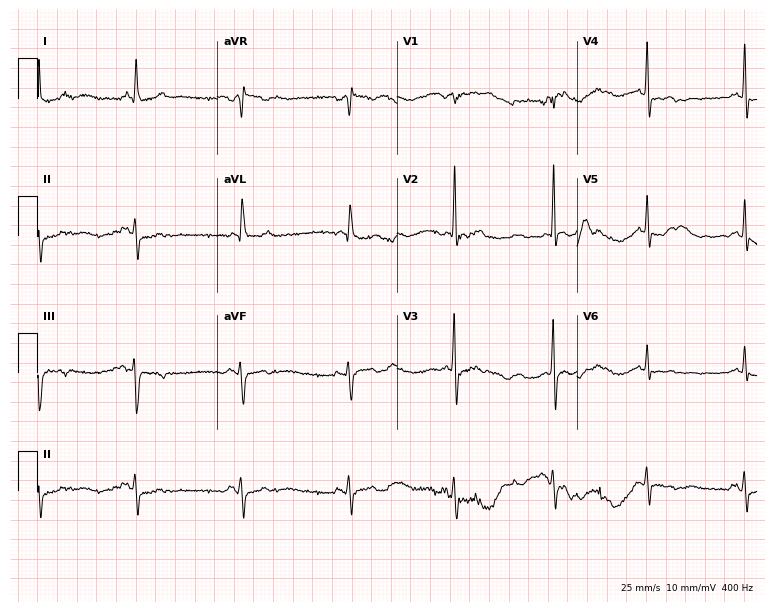
Resting 12-lead electrocardiogram (7.3-second recording at 400 Hz). Patient: a 79-year-old male. None of these six findings is recorded: first-degree AV block, right bundle branch block, left bundle branch block, sinus bradycardia, atrial fibrillation, sinus tachycardia. Only these six findings were labelled.